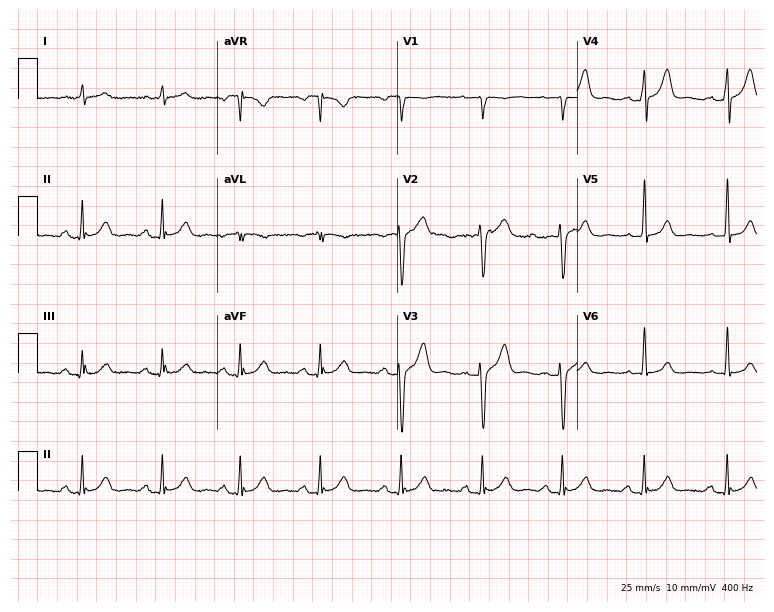
12-lead ECG from a 51-year-old man. Recorded interpretation: within normal limits.